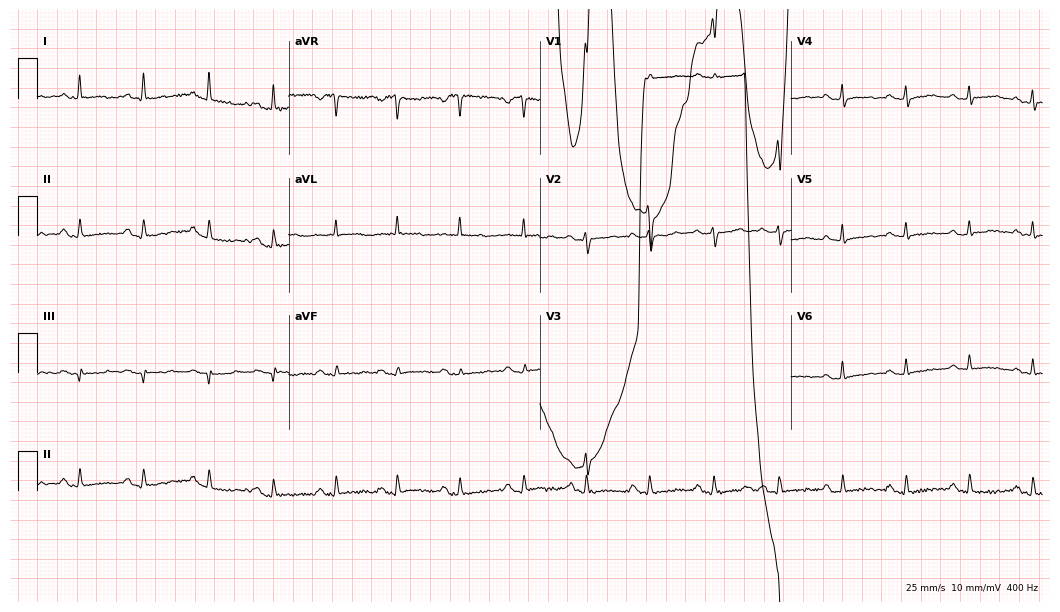
12-lead ECG from a female patient, 56 years old (10.2-second recording at 400 Hz). No first-degree AV block, right bundle branch block, left bundle branch block, sinus bradycardia, atrial fibrillation or sinus tachycardia recorded for this tracing. Other findings, if any, are not listed.